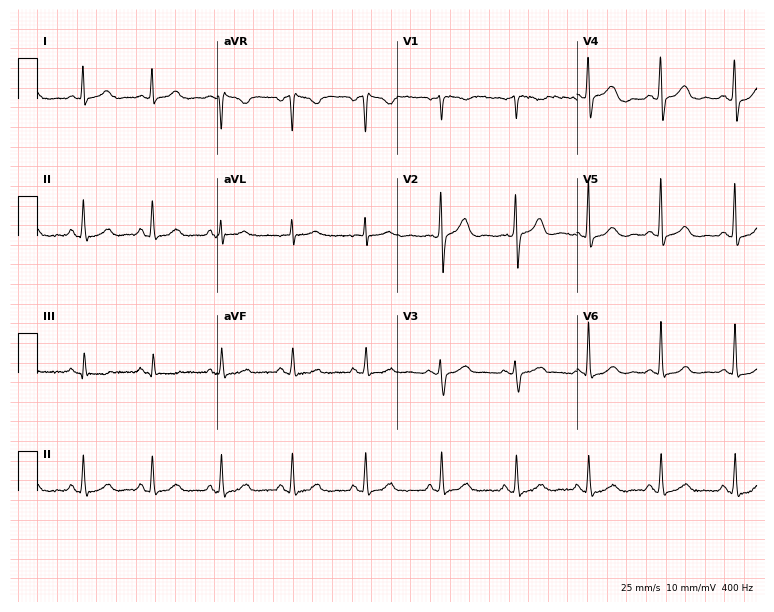
Electrocardiogram, a woman, 45 years old. Overall reading on record: normal ECG.